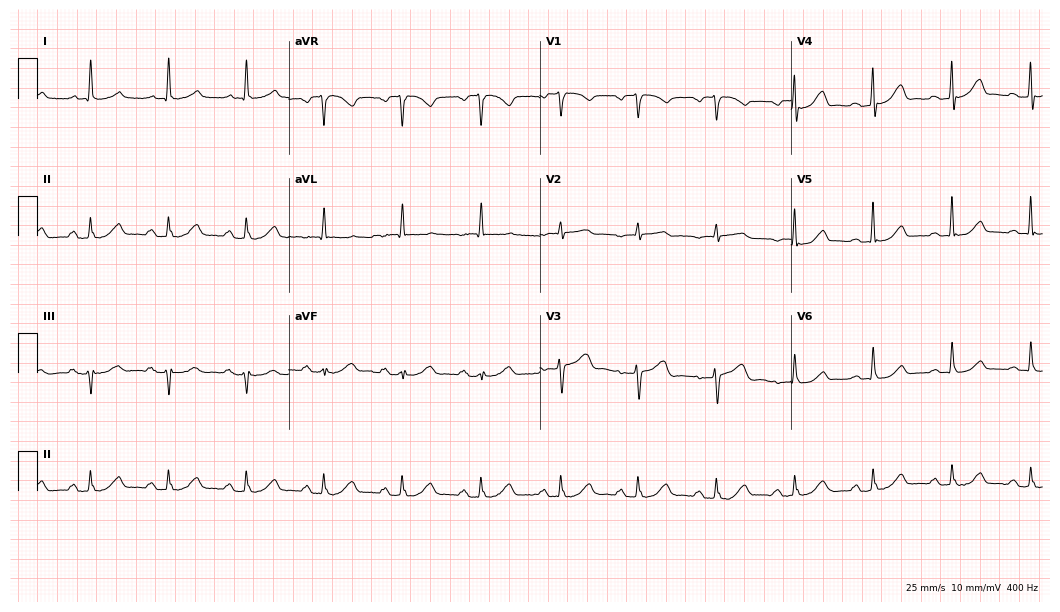
Resting 12-lead electrocardiogram. Patient: an 81-year-old woman. Read as a normal ECG.